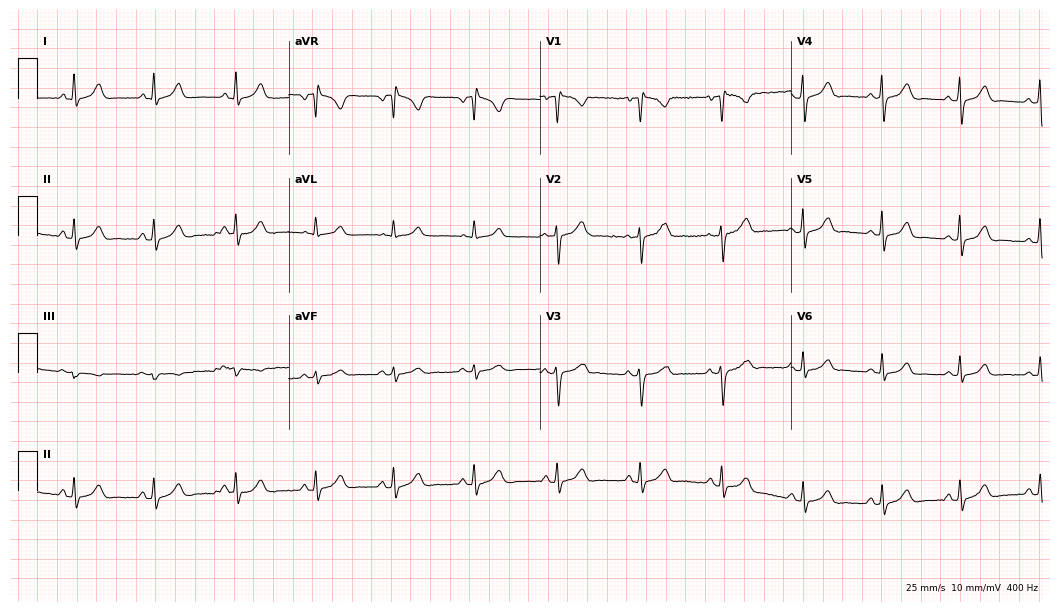
Electrocardiogram, a 29-year-old woman. Overall reading on record: normal ECG.